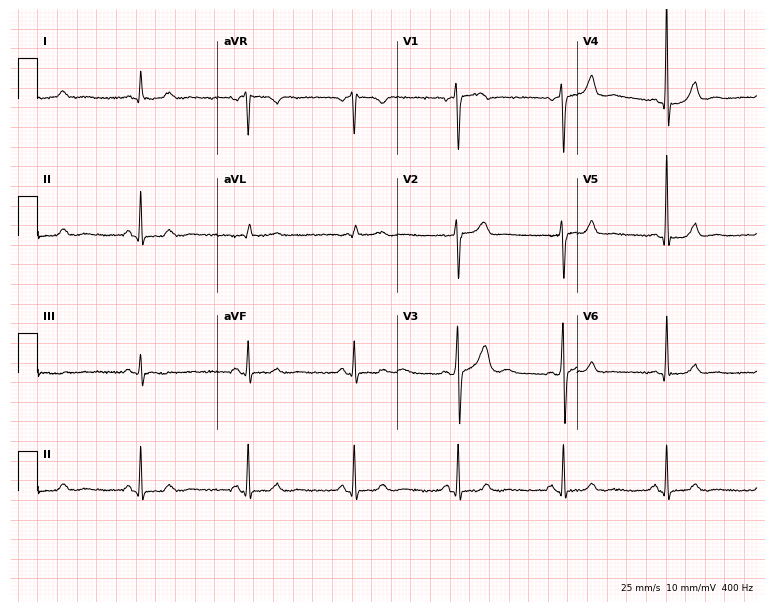
Standard 12-lead ECG recorded from a 66-year-old male. None of these six findings is recorded: first-degree AV block, right bundle branch block, left bundle branch block, sinus bradycardia, atrial fibrillation, sinus tachycardia.